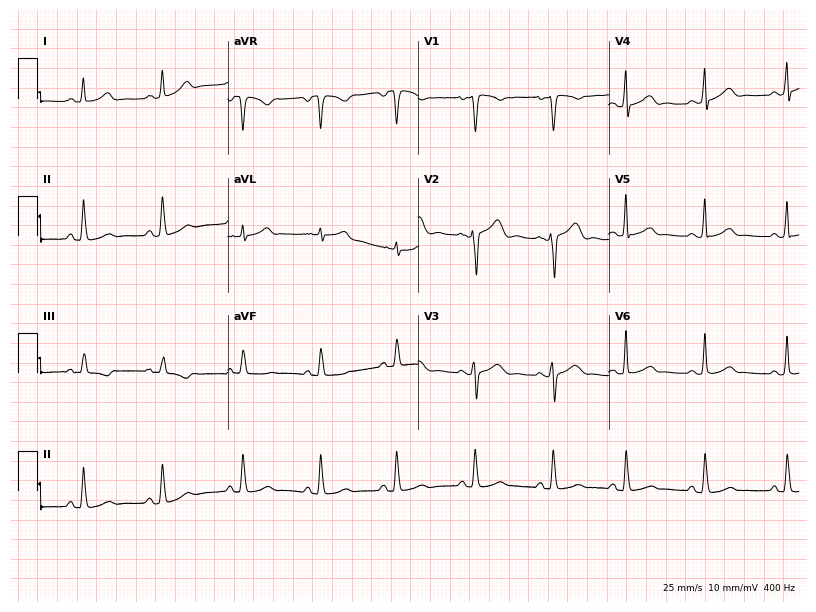
Resting 12-lead electrocardiogram. Patient: a woman, 24 years old. None of these six findings is recorded: first-degree AV block, right bundle branch block, left bundle branch block, sinus bradycardia, atrial fibrillation, sinus tachycardia. Findings outside these six are not listed.